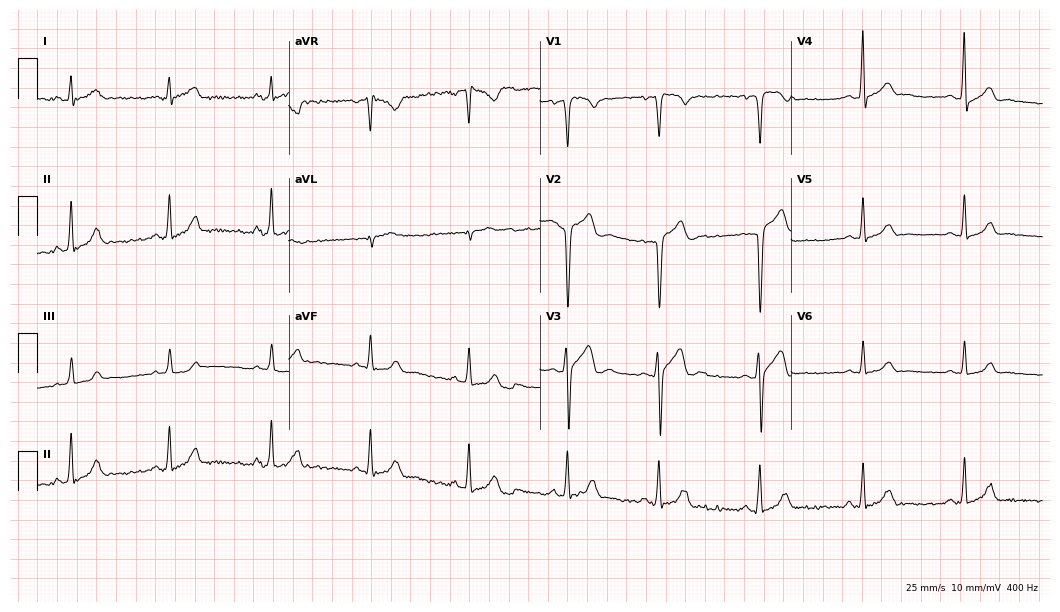
12-lead ECG from a 17-year-old male patient. Labelled as a normal ECG.